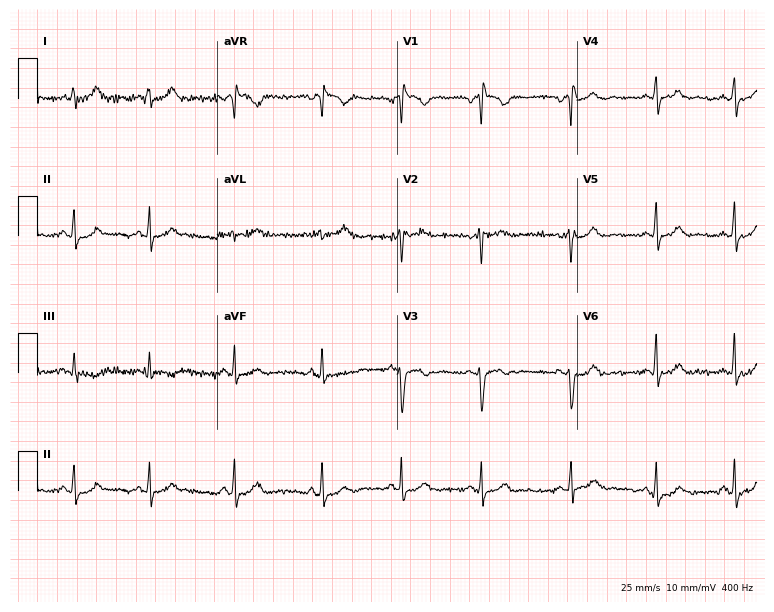
ECG (7.3-second recording at 400 Hz) — a 19-year-old female. Labelled as a normal ECG.